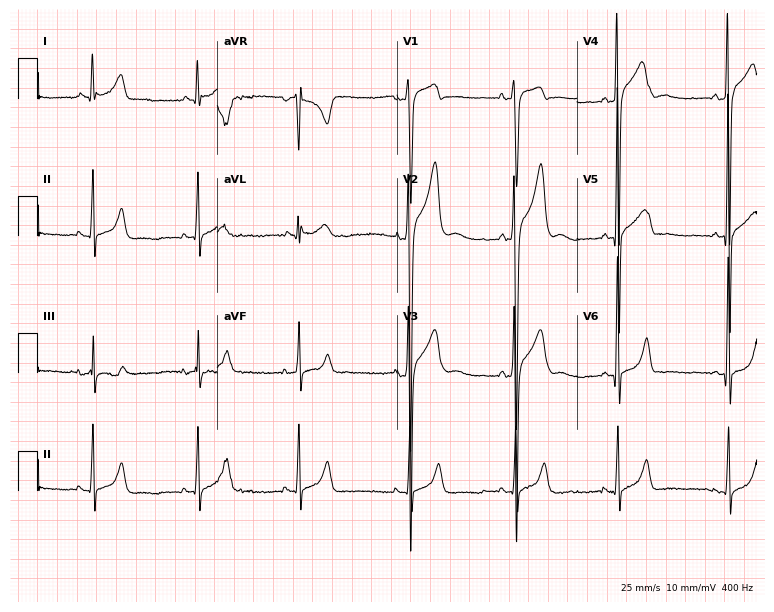
ECG (7.3-second recording at 400 Hz) — a male, 23 years old. Labelled as a normal ECG.